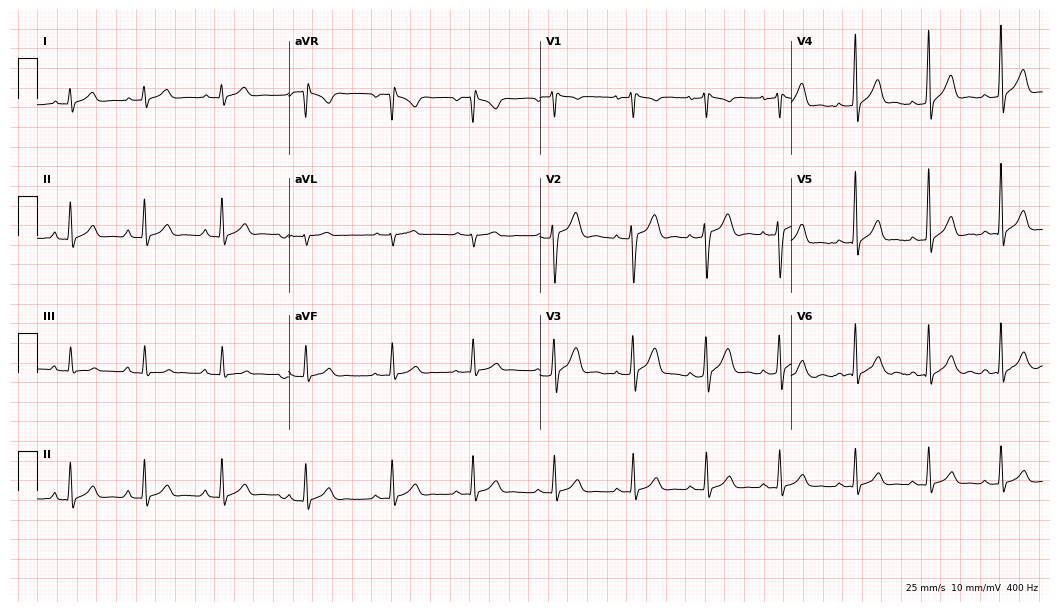
Electrocardiogram (10.2-second recording at 400 Hz), a 19-year-old male. Overall reading on record: normal ECG.